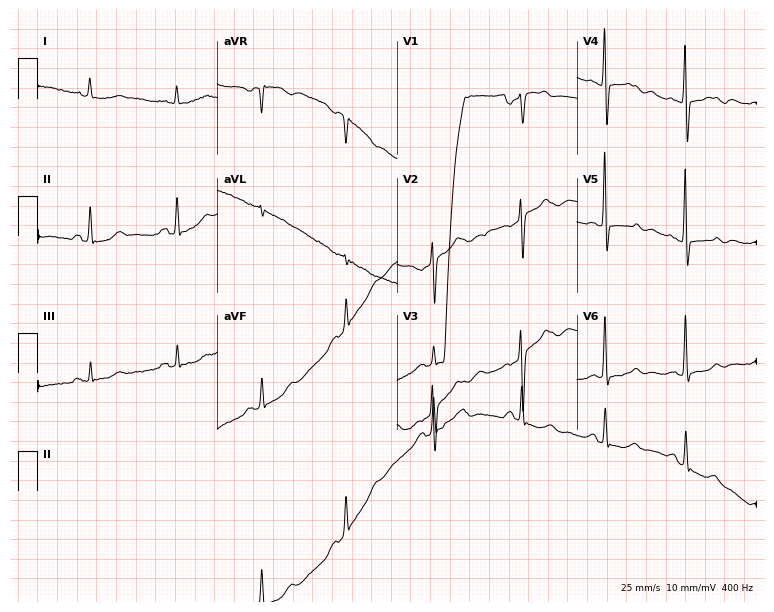
Resting 12-lead electrocardiogram. Patient: a female, 75 years old. None of these six findings is recorded: first-degree AV block, right bundle branch block (RBBB), left bundle branch block (LBBB), sinus bradycardia, atrial fibrillation (AF), sinus tachycardia. Only these six findings were labelled.